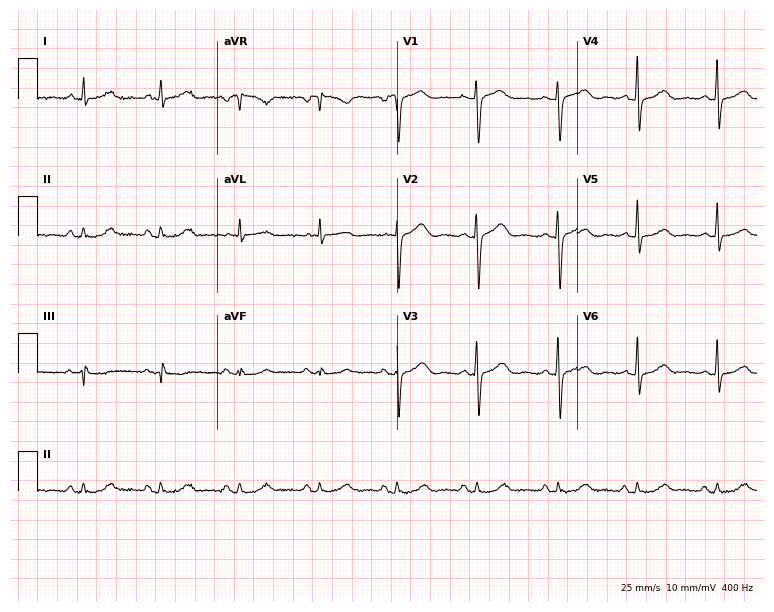
Electrocardiogram, a woman, 67 years old. Of the six screened findings (first-degree AV block, right bundle branch block, left bundle branch block, sinus bradycardia, atrial fibrillation, sinus tachycardia), none is recorded. Other findings, if any, are not listed.